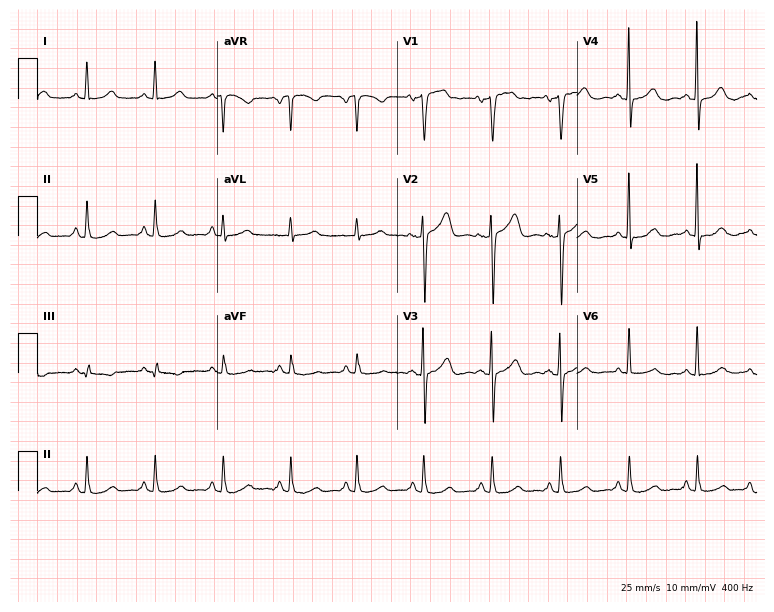
12-lead ECG from a 55-year-old female patient. Labelled as a normal ECG.